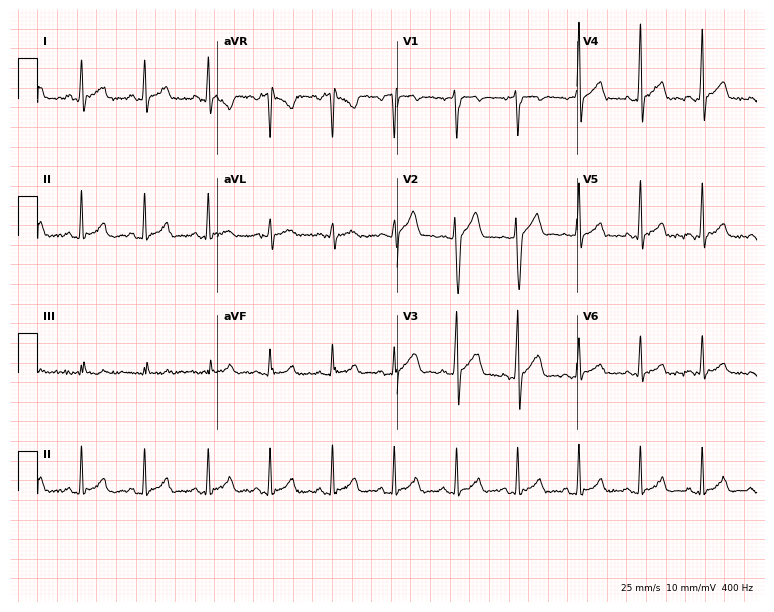
12-lead ECG from a male patient, 35 years old. Labelled as a normal ECG.